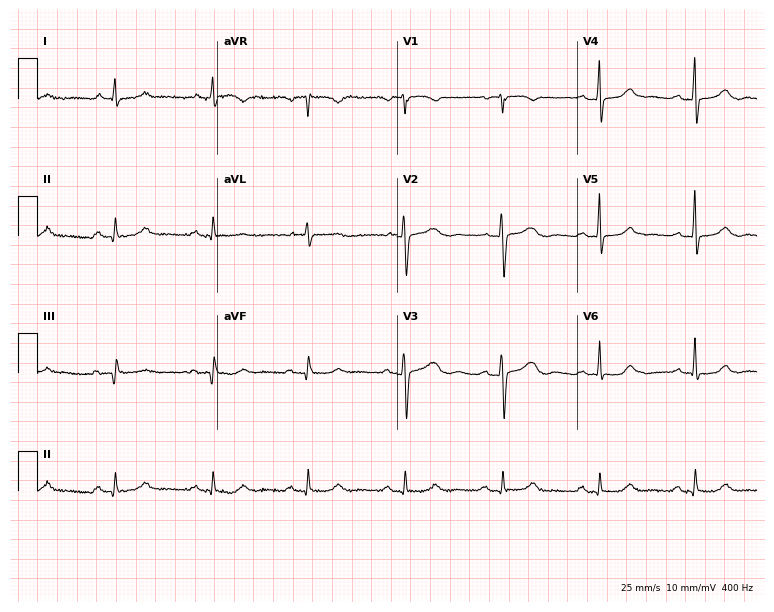
Resting 12-lead electrocardiogram (7.3-second recording at 400 Hz). Patient: a 67-year-old female. Read as a normal ECG.